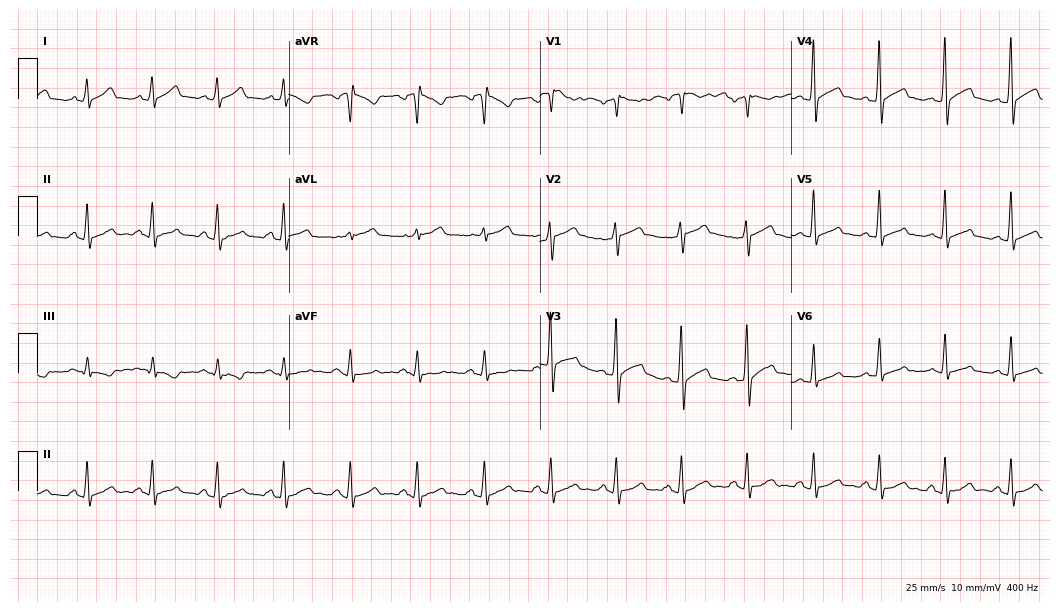
Resting 12-lead electrocardiogram. Patient: a male, 30 years old. Read as a normal ECG.